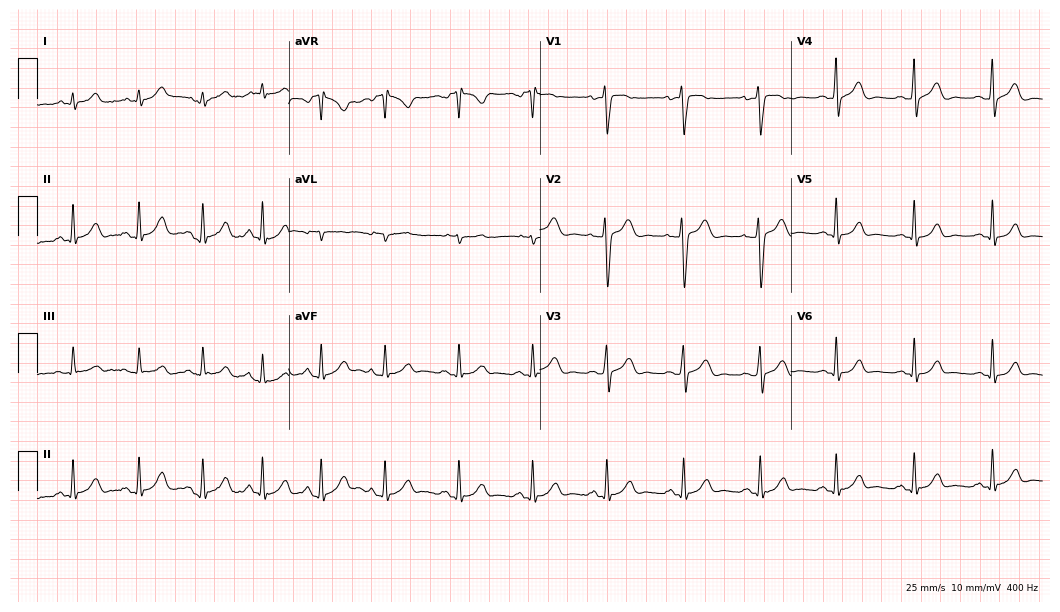
Electrocardiogram (10.2-second recording at 400 Hz), a 20-year-old female patient. Overall reading on record: normal ECG.